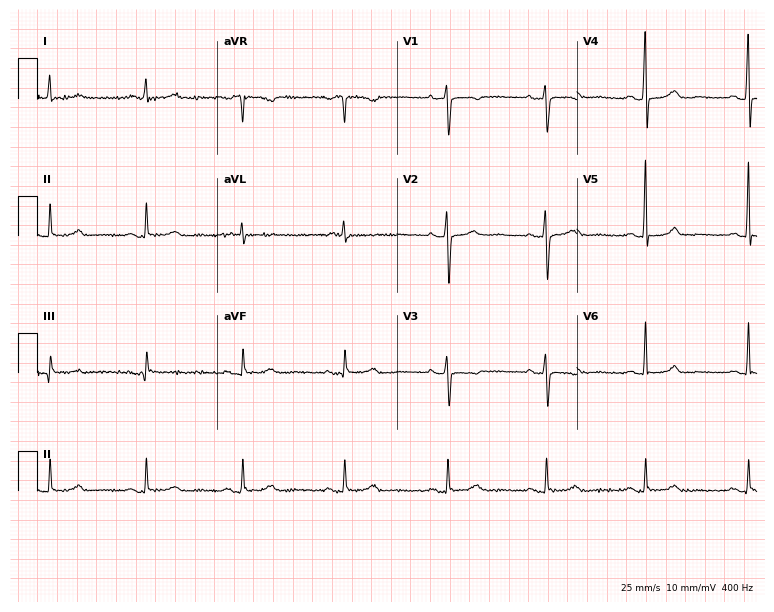
Resting 12-lead electrocardiogram (7.3-second recording at 400 Hz). Patient: a 42-year-old female. None of these six findings is recorded: first-degree AV block, right bundle branch block (RBBB), left bundle branch block (LBBB), sinus bradycardia, atrial fibrillation (AF), sinus tachycardia. Findings outside these six are not listed.